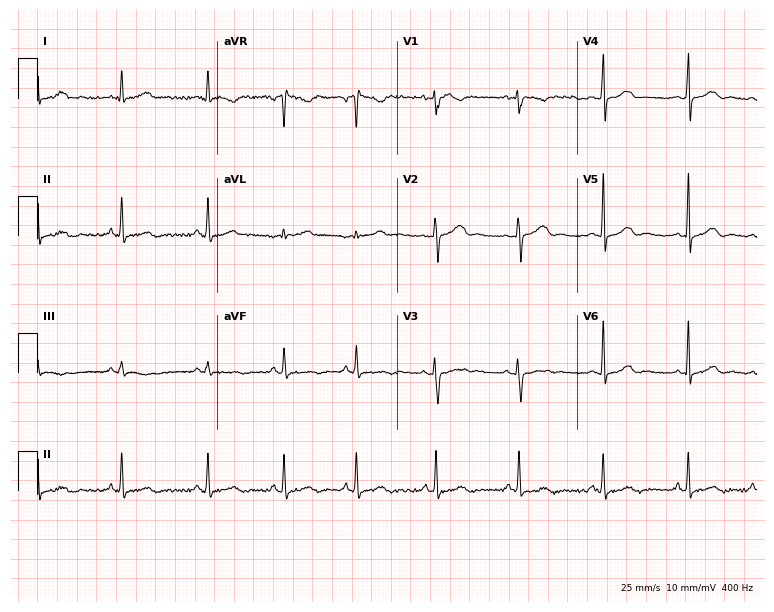
Standard 12-lead ECG recorded from a woman, 29 years old. Read as a normal ECG.